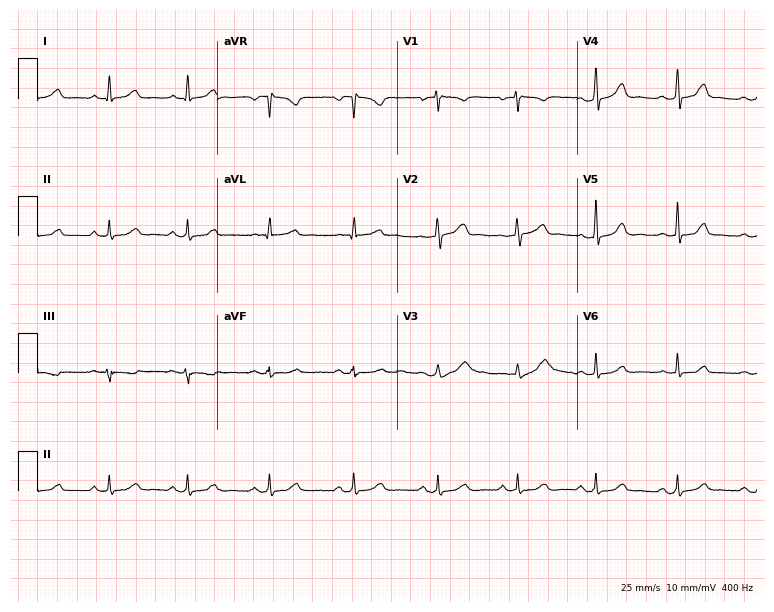
Resting 12-lead electrocardiogram (7.3-second recording at 400 Hz). Patient: a 44-year-old female. Read as a normal ECG.